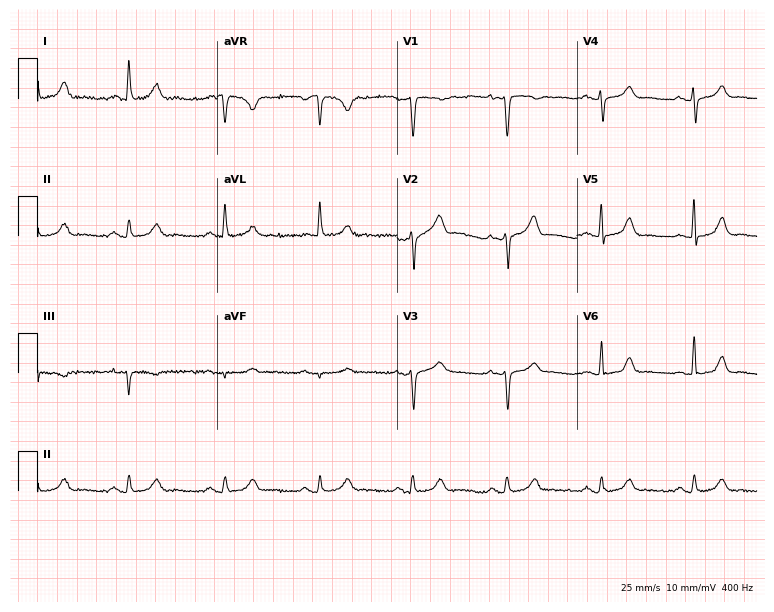
Electrocardiogram, a 76-year-old woman. Overall reading on record: normal ECG.